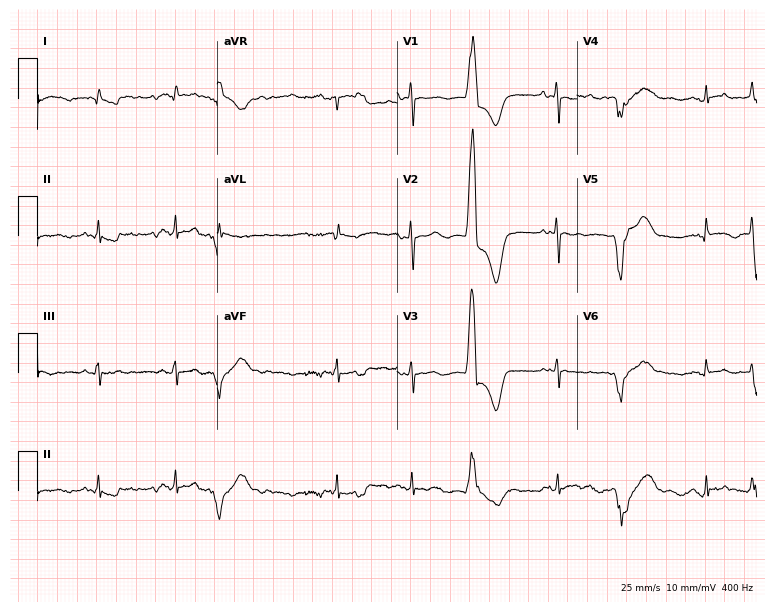
12-lead ECG from a 69-year-old female patient (7.3-second recording at 400 Hz). No first-degree AV block, right bundle branch block, left bundle branch block, sinus bradycardia, atrial fibrillation or sinus tachycardia recorded for this tracing.